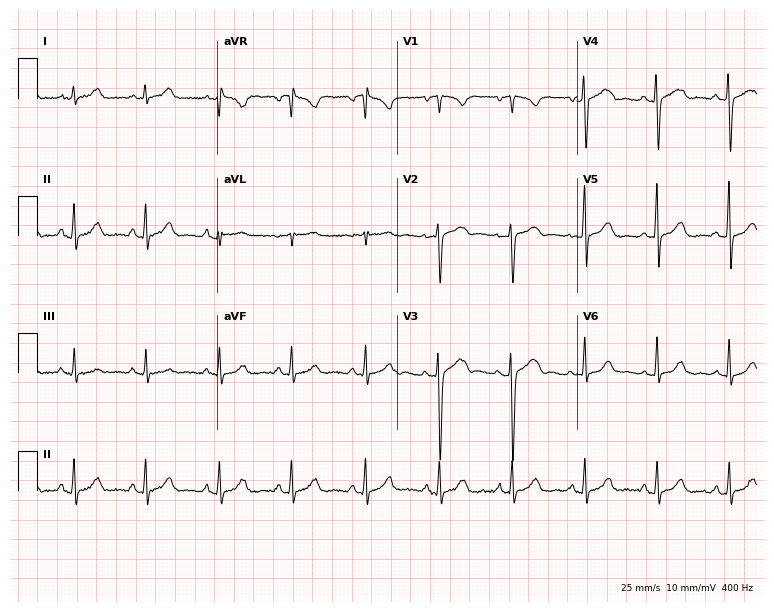
Electrocardiogram, a woman, 22 years old. Overall reading on record: normal ECG.